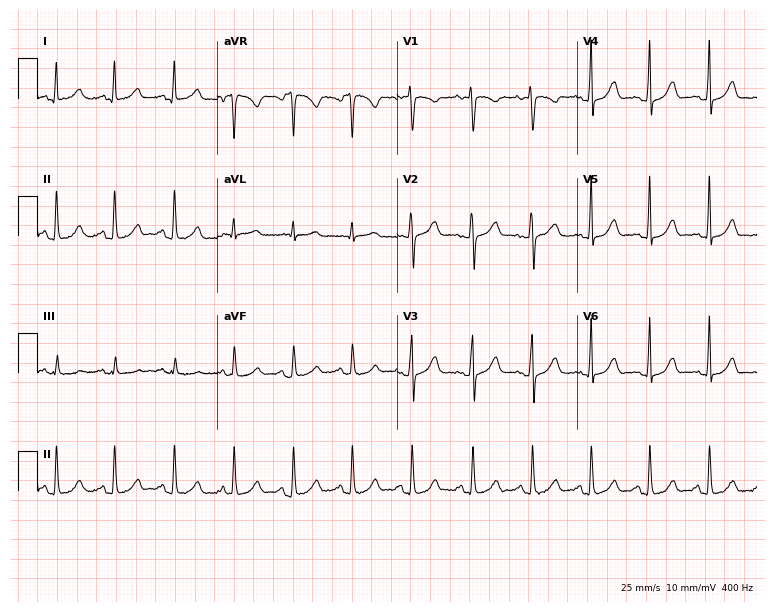
Standard 12-lead ECG recorded from a 31-year-old woman (7.3-second recording at 400 Hz). Read as a normal ECG.